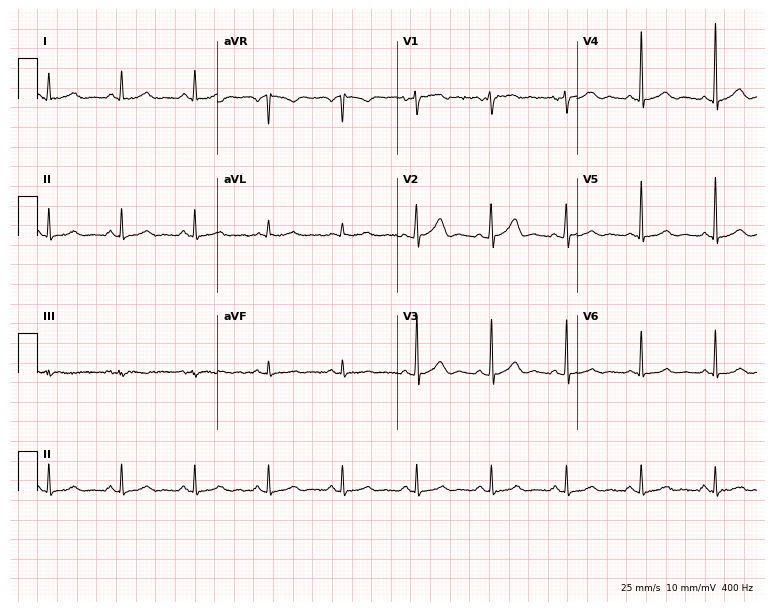
Electrocardiogram (7.3-second recording at 400 Hz), a 54-year-old male. Overall reading on record: normal ECG.